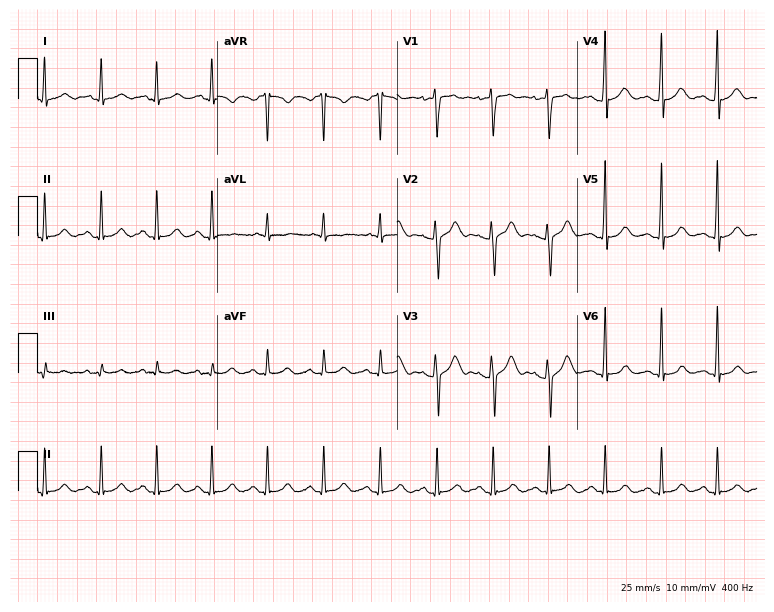
Electrocardiogram (7.3-second recording at 400 Hz), a woman, 24 years old. Overall reading on record: normal ECG.